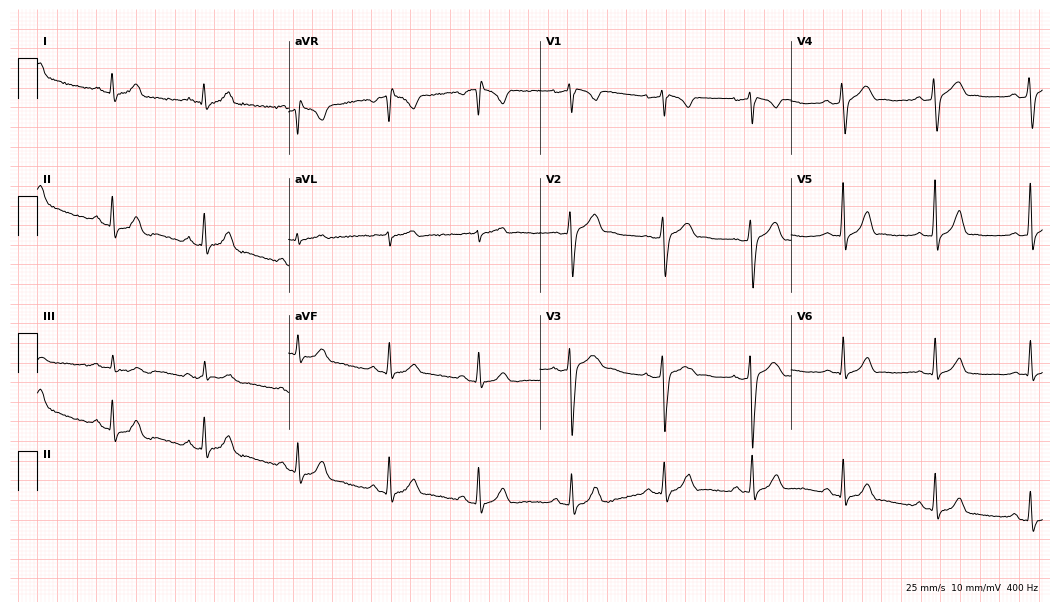
ECG — a male, 33 years old. Screened for six findings — first-degree AV block, right bundle branch block, left bundle branch block, sinus bradycardia, atrial fibrillation, sinus tachycardia — none is recorded. Findings outside these six are not listed.